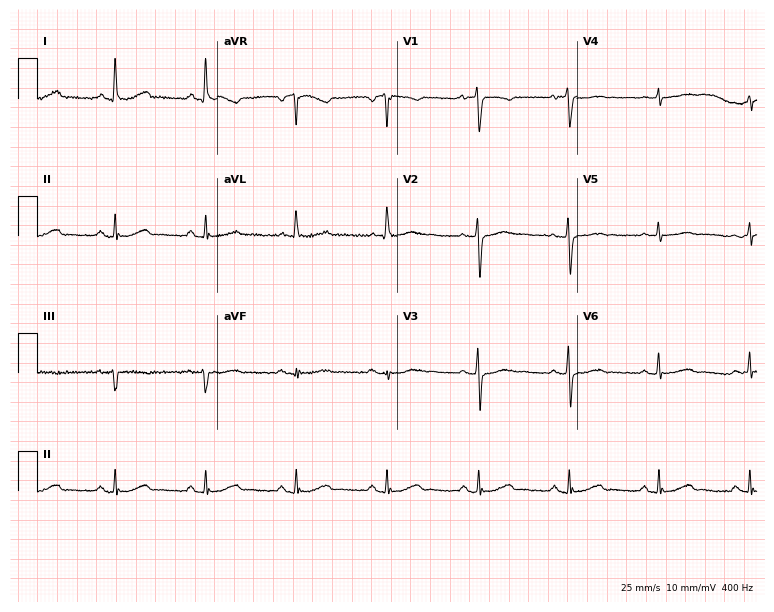
ECG (7.3-second recording at 400 Hz) — a woman, 66 years old. Labelled as a normal ECG.